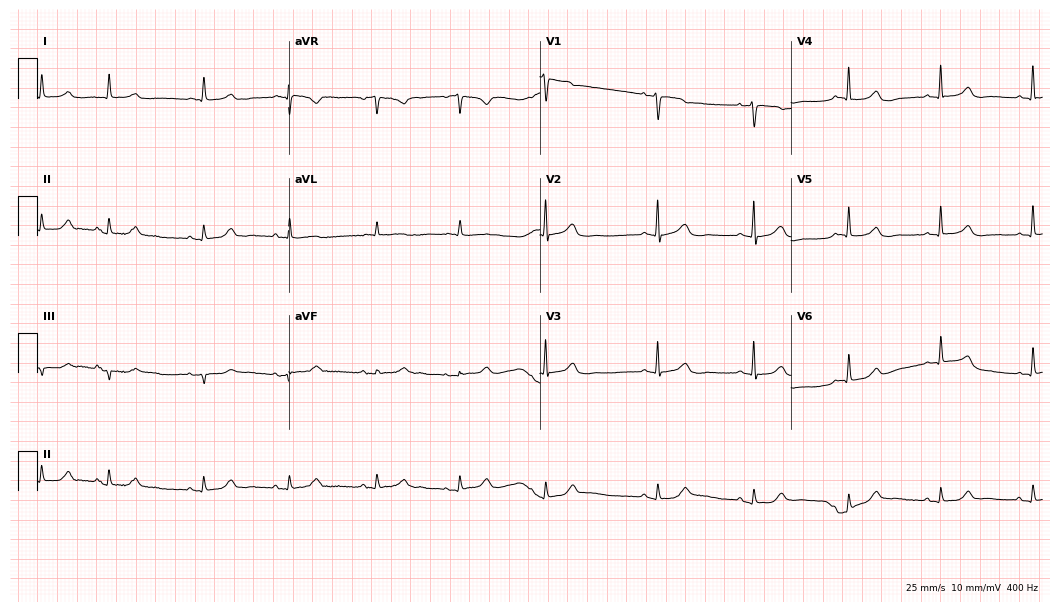
Resting 12-lead electrocardiogram (10.2-second recording at 400 Hz). Patient: a female, 80 years old. None of these six findings is recorded: first-degree AV block, right bundle branch block (RBBB), left bundle branch block (LBBB), sinus bradycardia, atrial fibrillation (AF), sinus tachycardia.